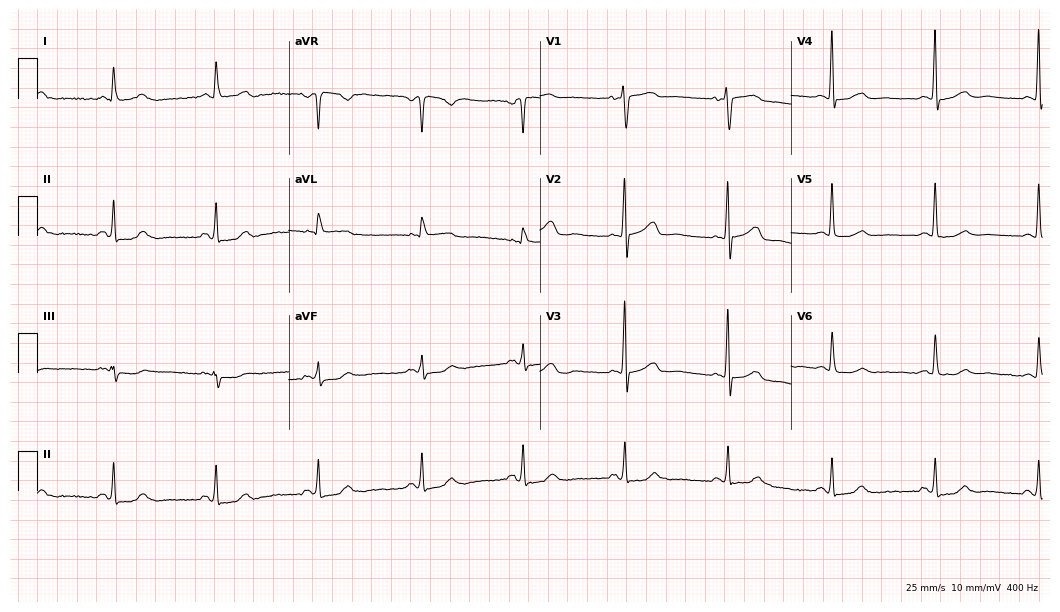
12-lead ECG from a female patient, 67 years old. Screened for six findings — first-degree AV block, right bundle branch block, left bundle branch block, sinus bradycardia, atrial fibrillation, sinus tachycardia — none is recorded.